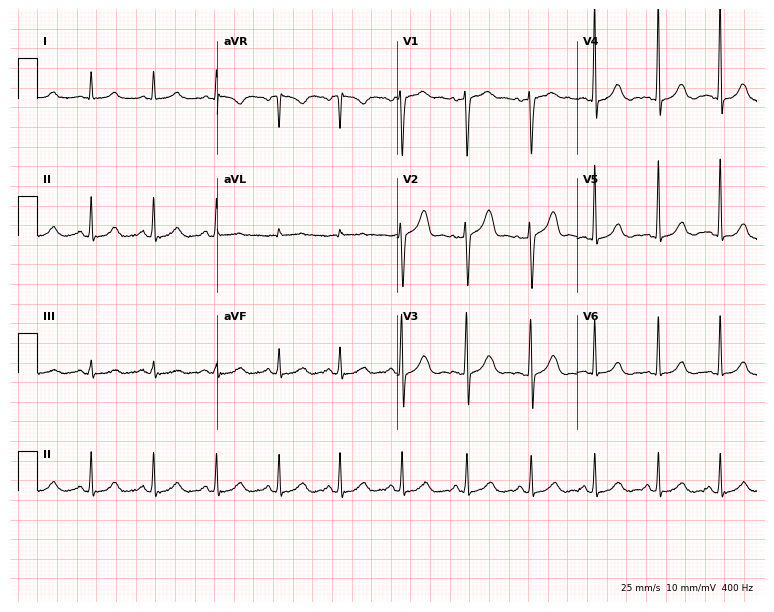
Electrocardiogram, a 44-year-old woman. Overall reading on record: normal ECG.